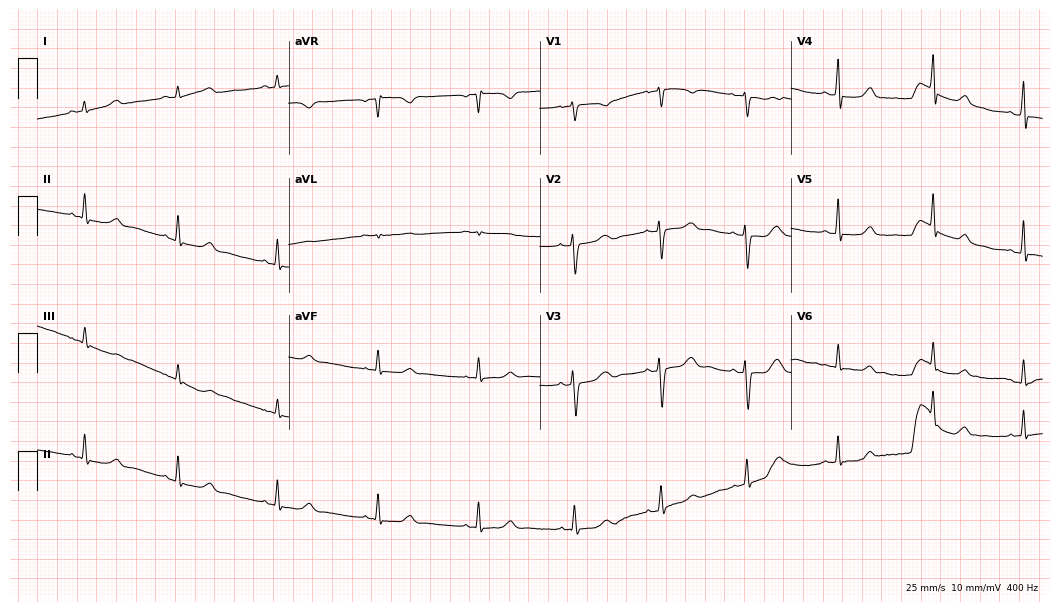
Standard 12-lead ECG recorded from a 30-year-old female (10.2-second recording at 400 Hz). None of these six findings is recorded: first-degree AV block, right bundle branch block (RBBB), left bundle branch block (LBBB), sinus bradycardia, atrial fibrillation (AF), sinus tachycardia.